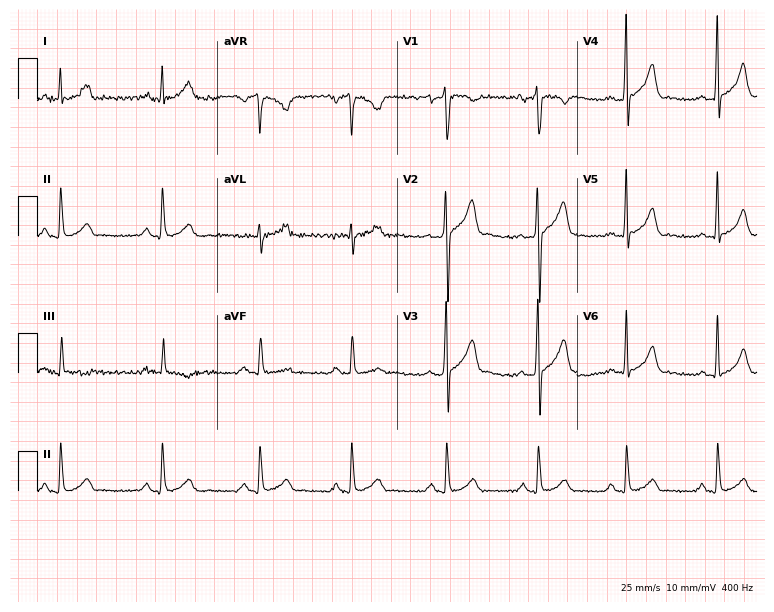
12-lead ECG from a 37-year-old male patient (7.3-second recording at 400 Hz). Recorded interpretation: within normal limits.